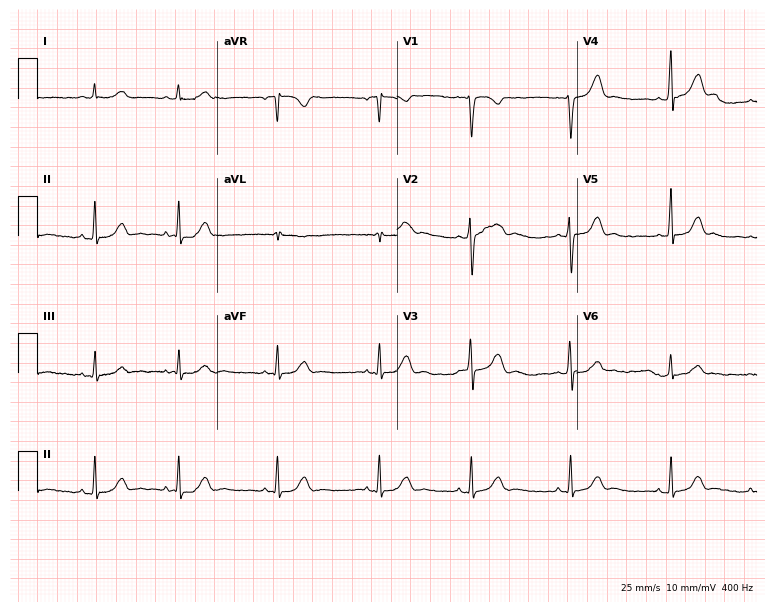
Resting 12-lead electrocardiogram (7.3-second recording at 400 Hz). Patient: a 21-year-old woman. None of these six findings is recorded: first-degree AV block, right bundle branch block, left bundle branch block, sinus bradycardia, atrial fibrillation, sinus tachycardia.